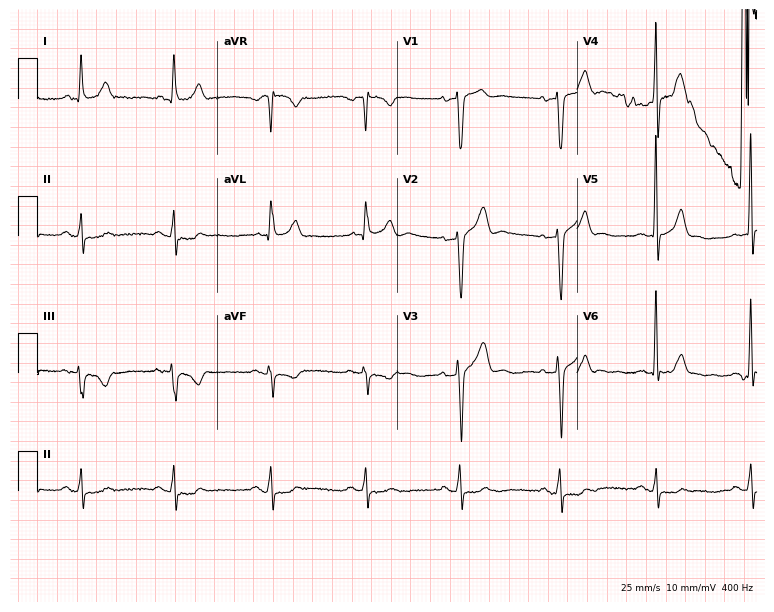
Standard 12-lead ECG recorded from a 59-year-old male (7.3-second recording at 400 Hz). None of these six findings is recorded: first-degree AV block, right bundle branch block (RBBB), left bundle branch block (LBBB), sinus bradycardia, atrial fibrillation (AF), sinus tachycardia. Findings outside these six are not listed.